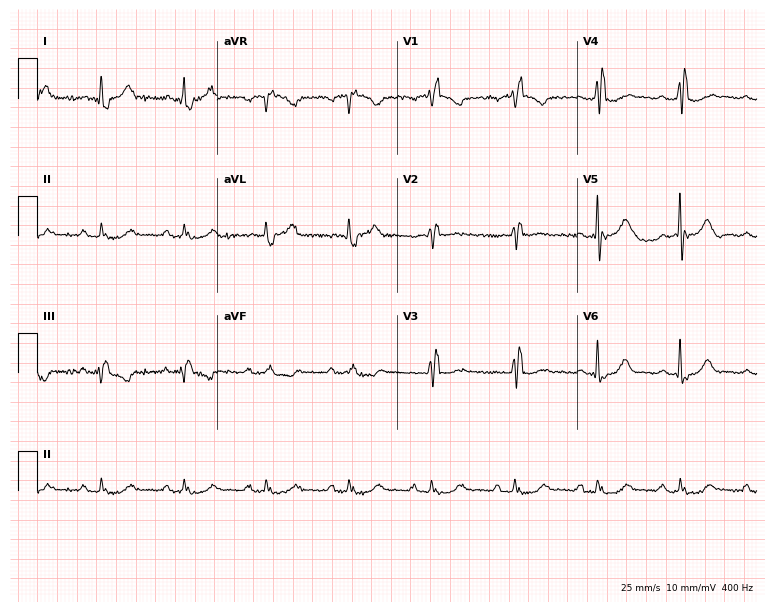
Electrocardiogram, a female patient, 75 years old. Interpretation includes right bundle branch block.